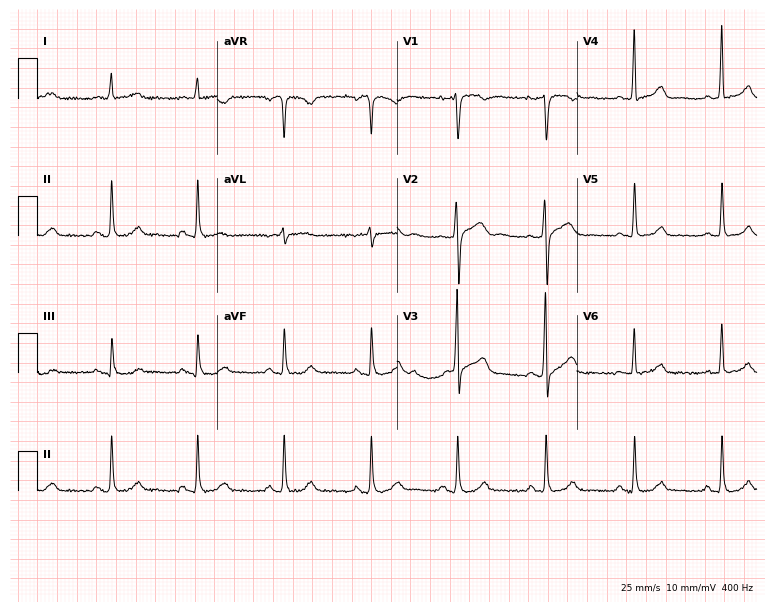
Resting 12-lead electrocardiogram. Patient: a 56-year-old male. Read as a normal ECG.